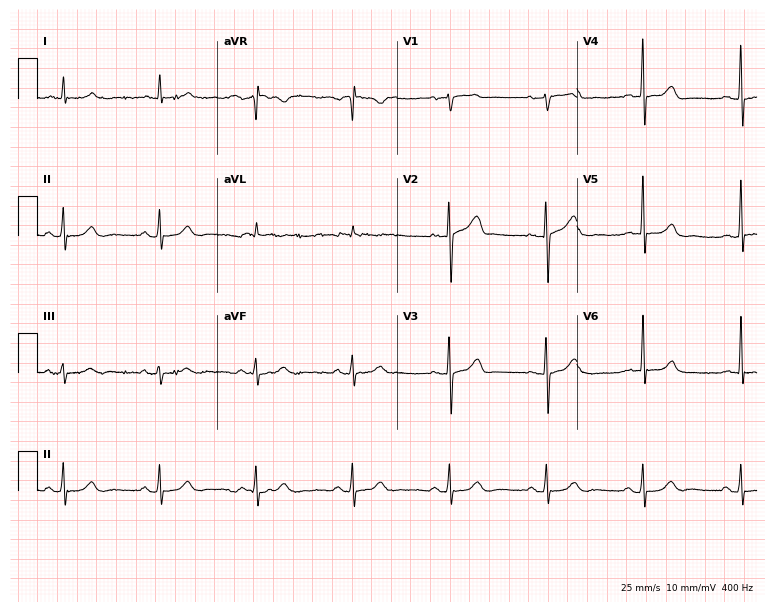
Electrocardiogram, a male patient, 70 years old. Overall reading on record: normal ECG.